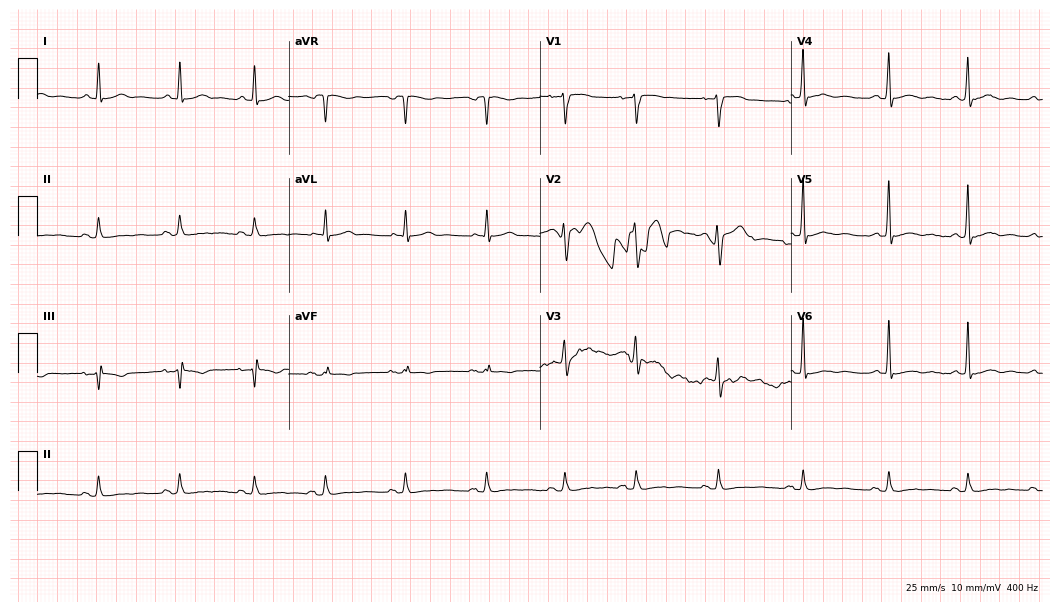
Standard 12-lead ECG recorded from a 46-year-old male (10.2-second recording at 400 Hz). None of these six findings is recorded: first-degree AV block, right bundle branch block (RBBB), left bundle branch block (LBBB), sinus bradycardia, atrial fibrillation (AF), sinus tachycardia.